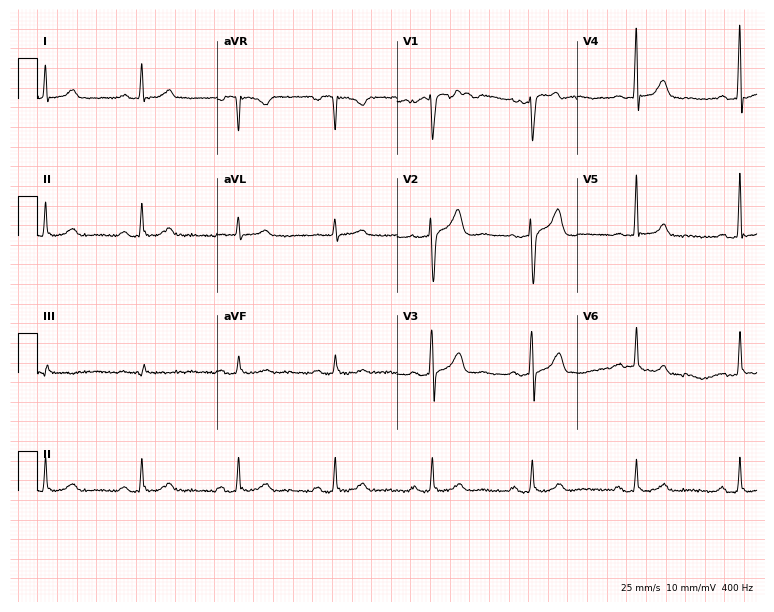
12-lead ECG from a male, 64 years old. Labelled as a normal ECG.